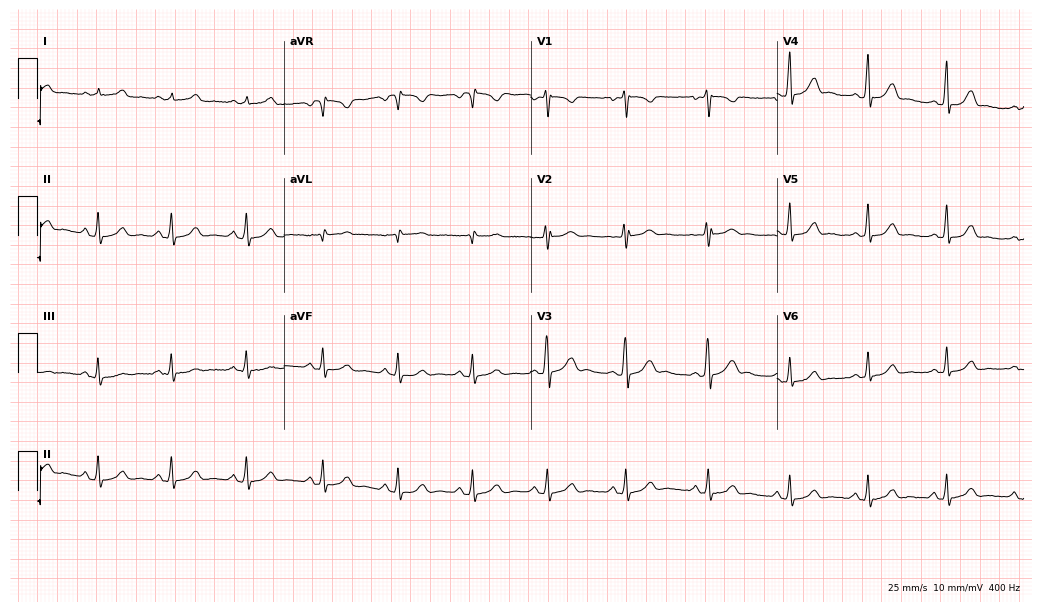
ECG (10.1-second recording at 400 Hz) — a 25-year-old female. Labelled as a normal ECG.